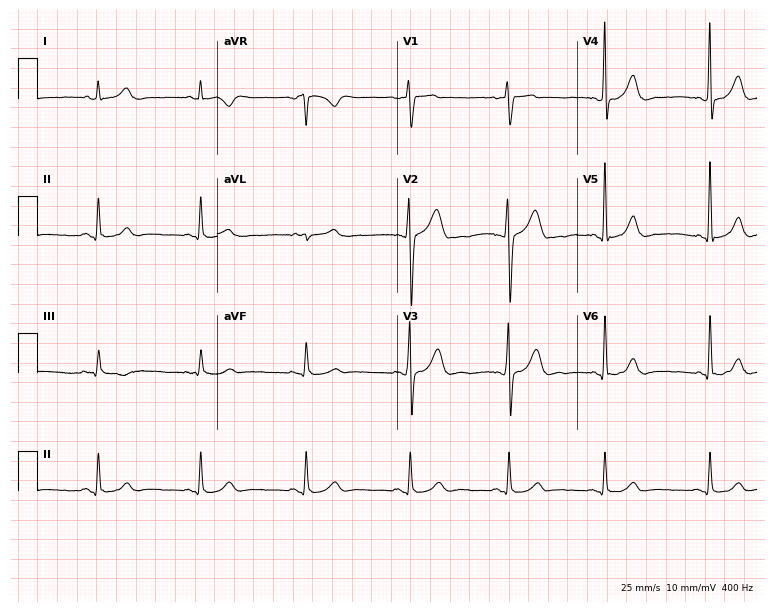
Electrocardiogram, a man, 42 years old. Overall reading on record: normal ECG.